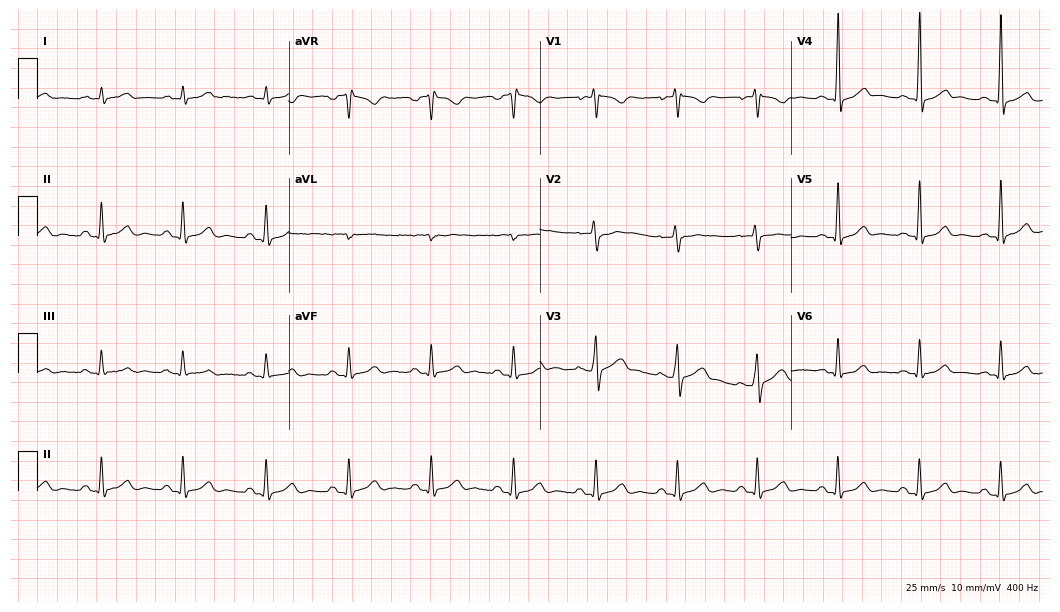
Resting 12-lead electrocardiogram. Patient: a 36-year-old male. None of these six findings is recorded: first-degree AV block, right bundle branch block, left bundle branch block, sinus bradycardia, atrial fibrillation, sinus tachycardia.